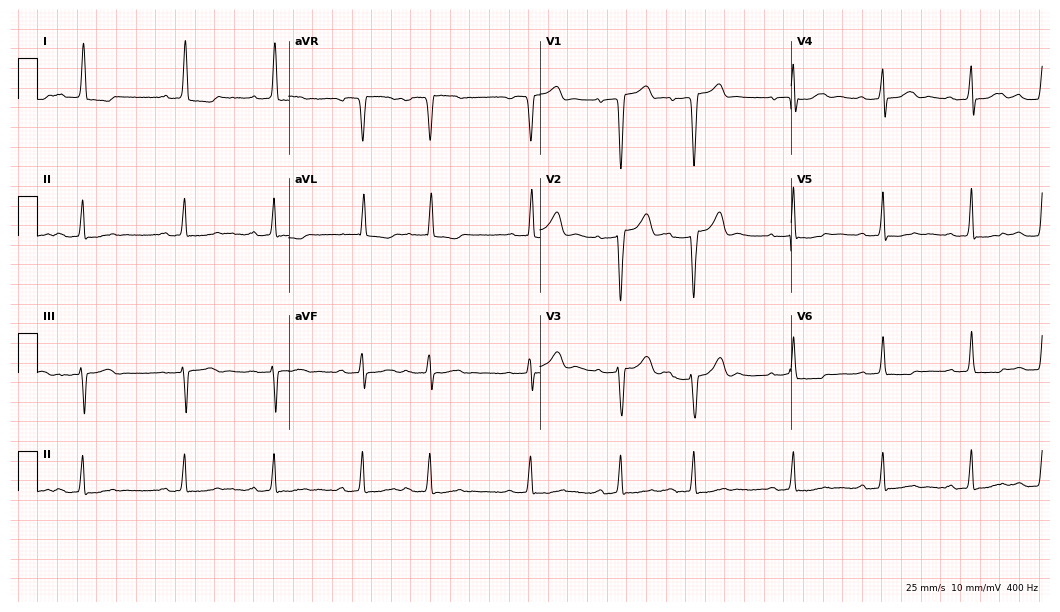
12-lead ECG from a 64-year-old woman. Shows first-degree AV block.